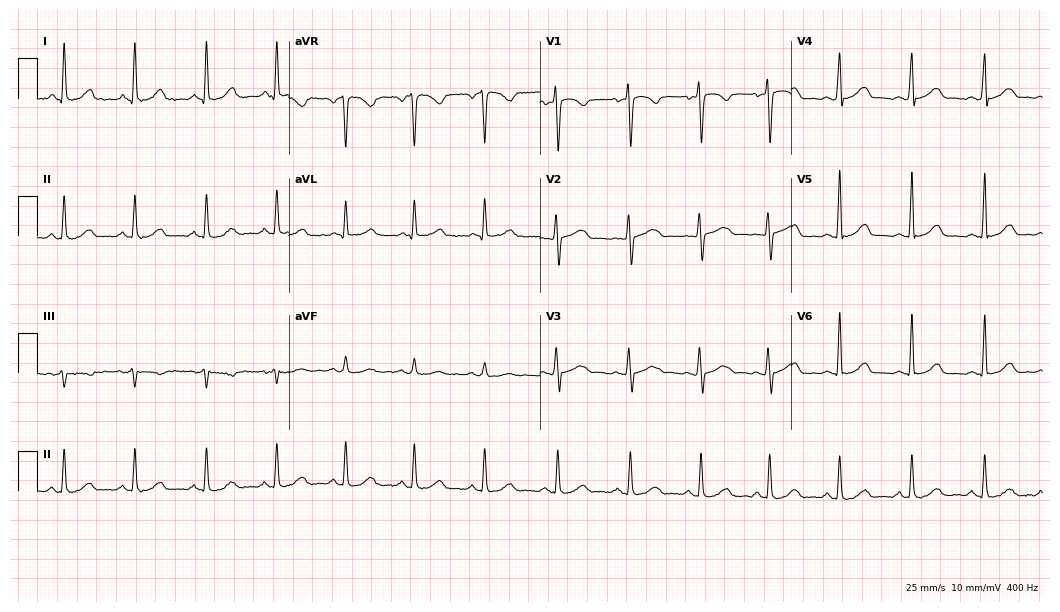
Standard 12-lead ECG recorded from a woman, 45 years old (10.2-second recording at 400 Hz). Read as a normal ECG.